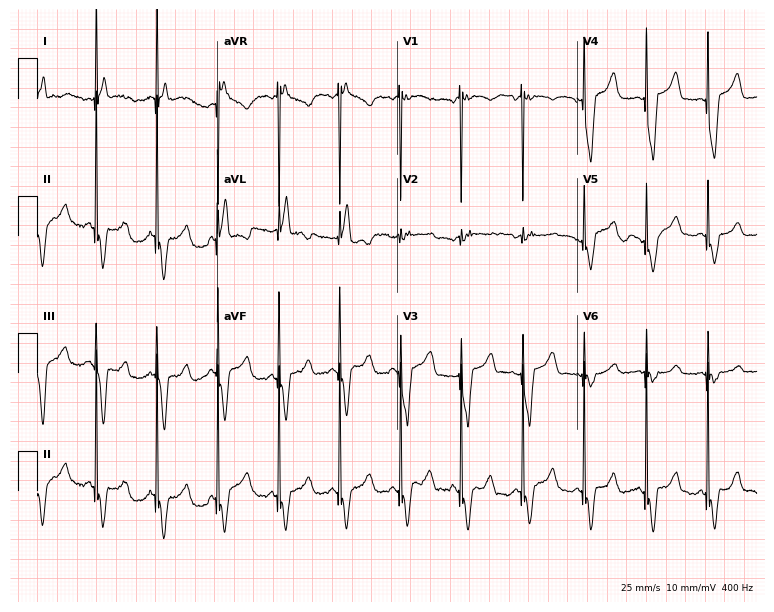
Standard 12-lead ECG recorded from a female patient, 58 years old. None of these six findings is recorded: first-degree AV block, right bundle branch block, left bundle branch block, sinus bradycardia, atrial fibrillation, sinus tachycardia. Other findings, if any, are not listed.